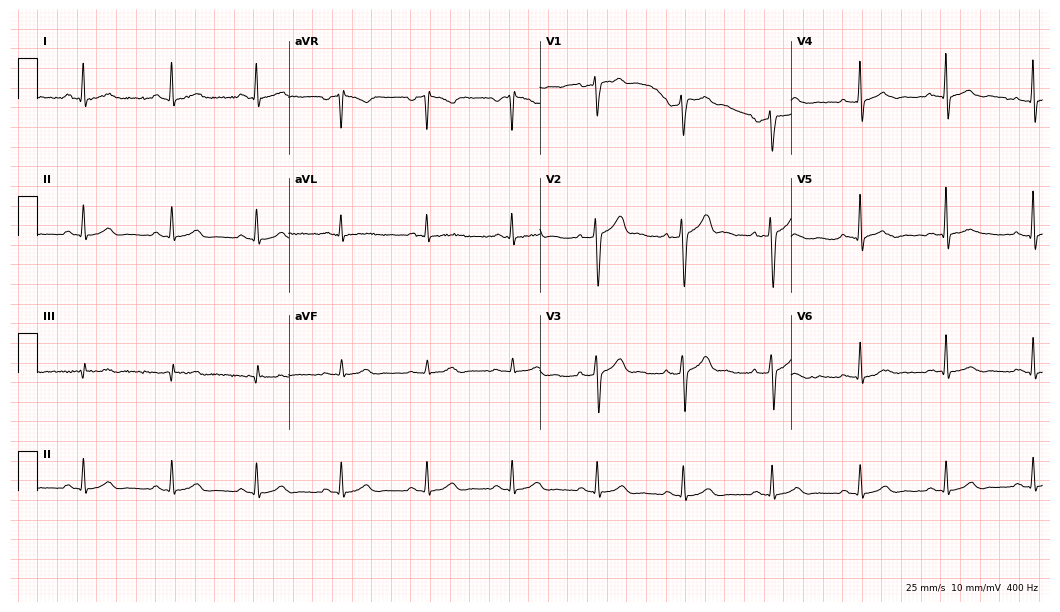
12-lead ECG (10.2-second recording at 400 Hz) from a male patient, 38 years old. Labelled as a normal ECG.